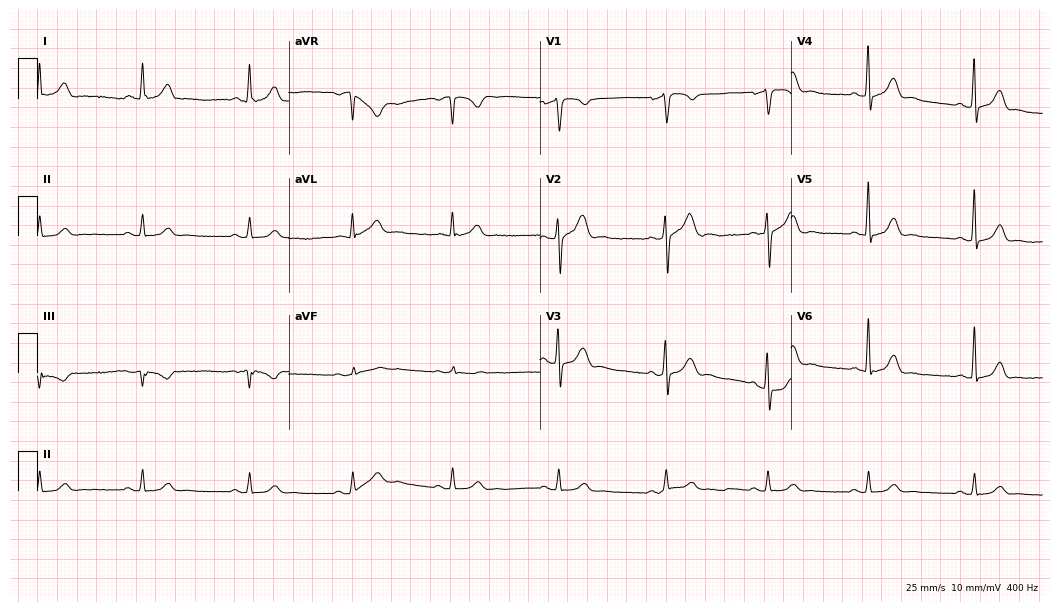
Resting 12-lead electrocardiogram (10.2-second recording at 400 Hz). Patient: a 60-year-old male. Read as a normal ECG.